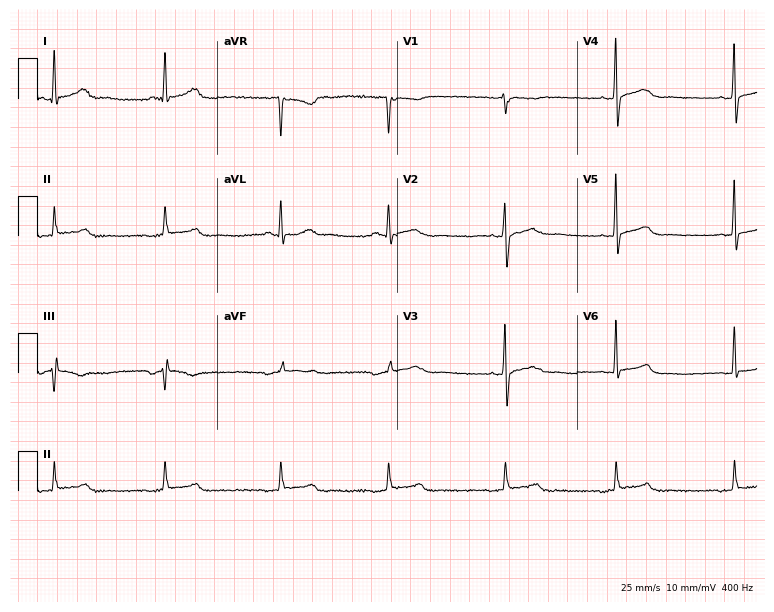
Electrocardiogram (7.3-second recording at 400 Hz), a male patient, 30 years old. Of the six screened findings (first-degree AV block, right bundle branch block (RBBB), left bundle branch block (LBBB), sinus bradycardia, atrial fibrillation (AF), sinus tachycardia), none is recorded.